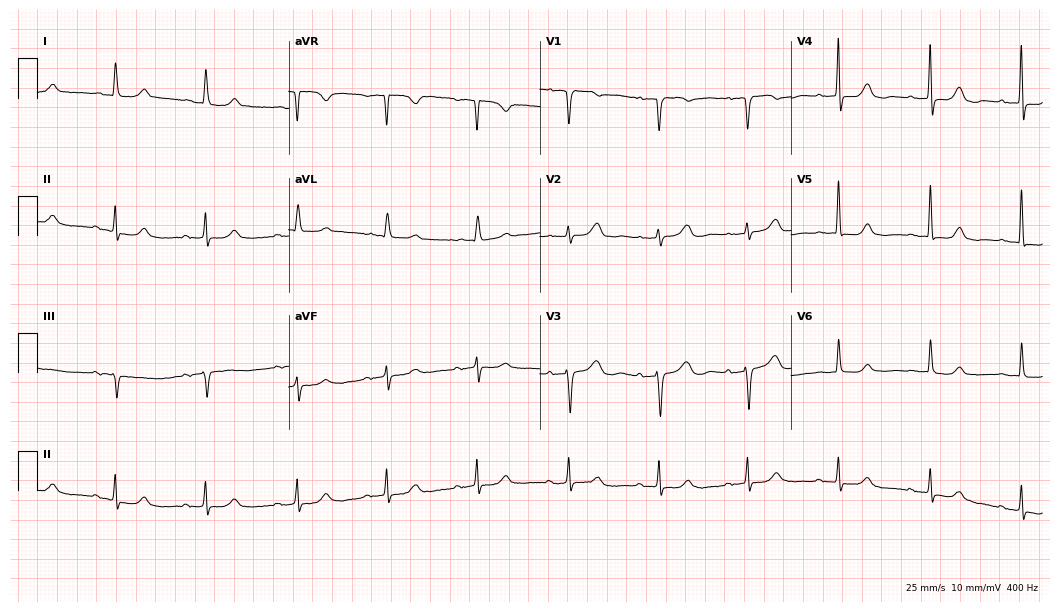
12-lead ECG from a female, 78 years old. Screened for six findings — first-degree AV block, right bundle branch block, left bundle branch block, sinus bradycardia, atrial fibrillation, sinus tachycardia — none is recorded.